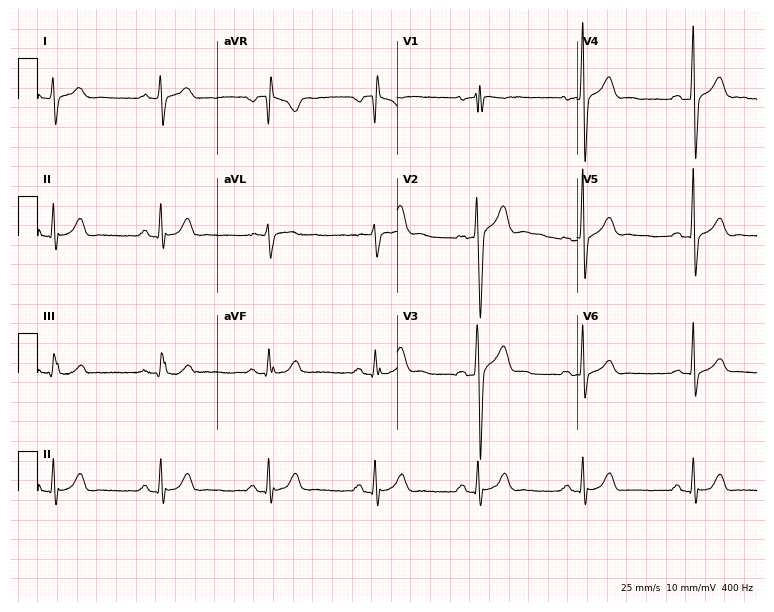
12-lead ECG from a 44-year-old male patient (7.3-second recording at 400 Hz). Recorded interpretation: within normal limits.